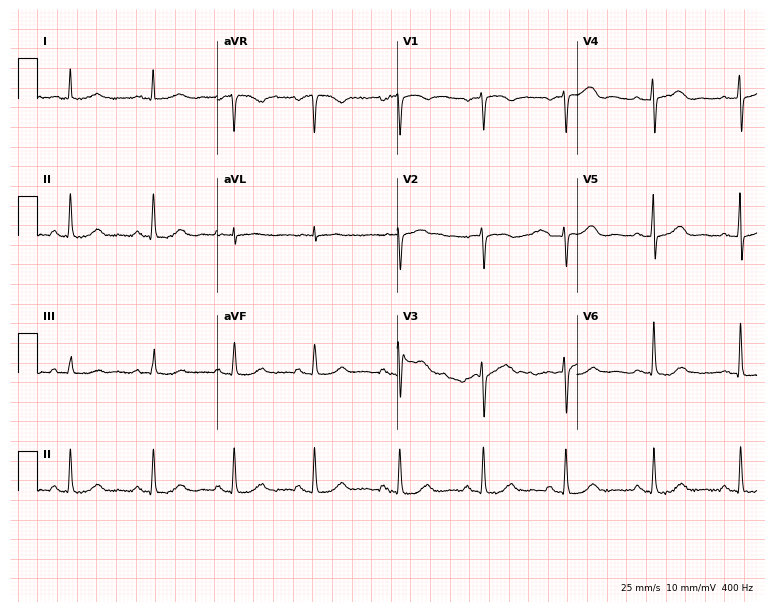
Resting 12-lead electrocardiogram. Patient: a female, 60 years old. None of these six findings is recorded: first-degree AV block, right bundle branch block, left bundle branch block, sinus bradycardia, atrial fibrillation, sinus tachycardia. Findings outside these six are not listed.